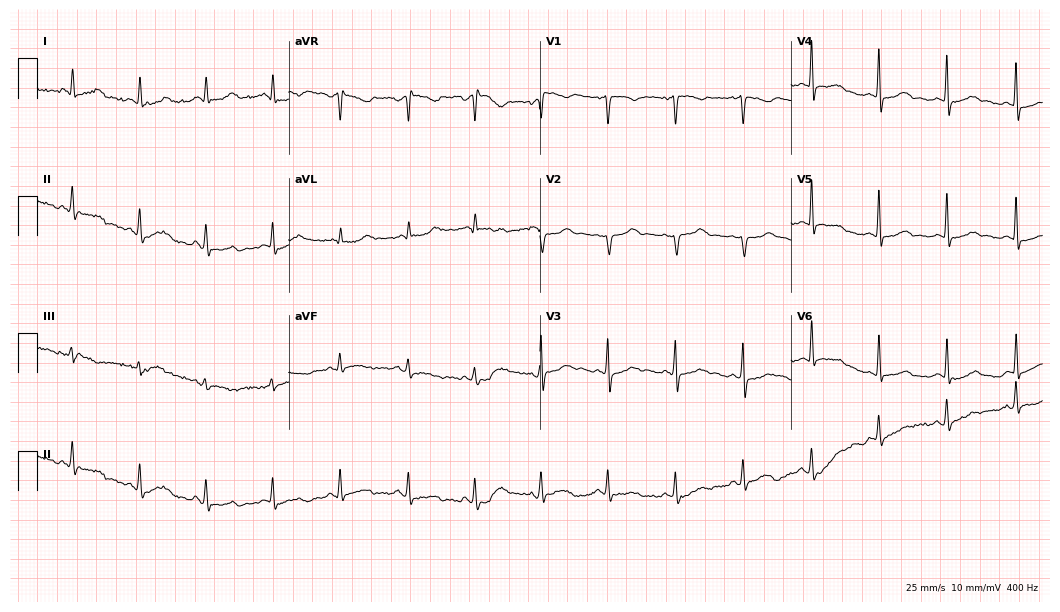
12-lead ECG from a female, 40 years old (10.2-second recording at 400 Hz). No first-degree AV block, right bundle branch block (RBBB), left bundle branch block (LBBB), sinus bradycardia, atrial fibrillation (AF) or sinus tachycardia recorded for this tracing. Other findings, if any, are not listed.